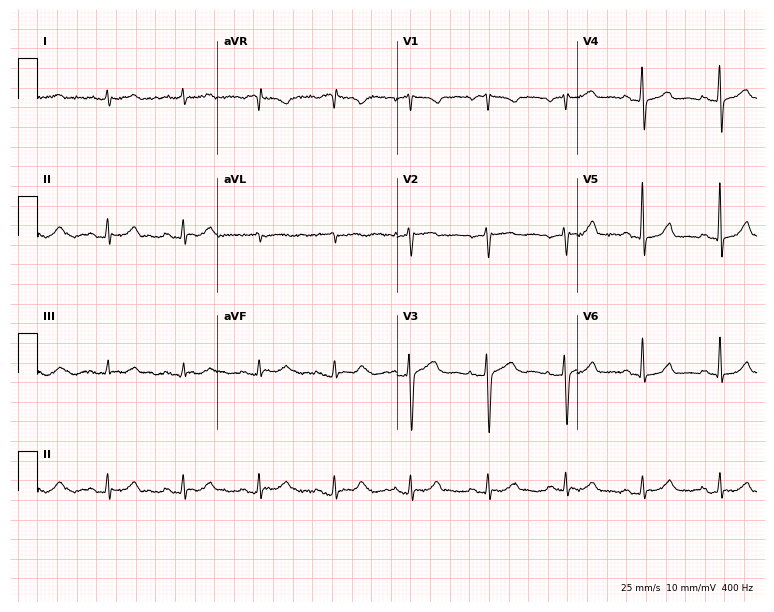
Electrocardiogram, a 70-year-old female. Of the six screened findings (first-degree AV block, right bundle branch block (RBBB), left bundle branch block (LBBB), sinus bradycardia, atrial fibrillation (AF), sinus tachycardia), none is recorded.